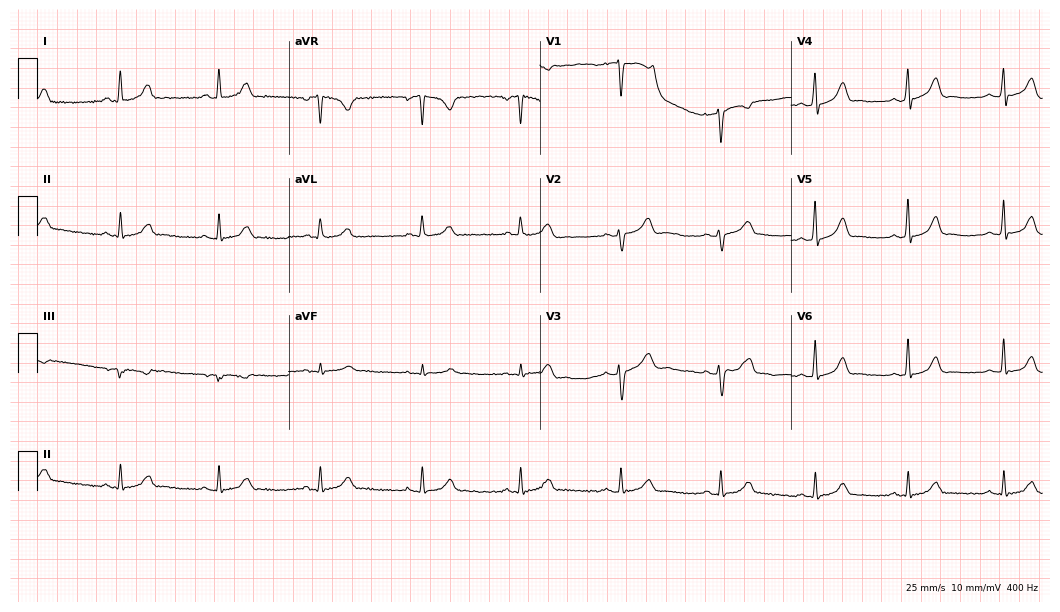
ECG — a female, 37 years old. Labelled as a normal ECG.